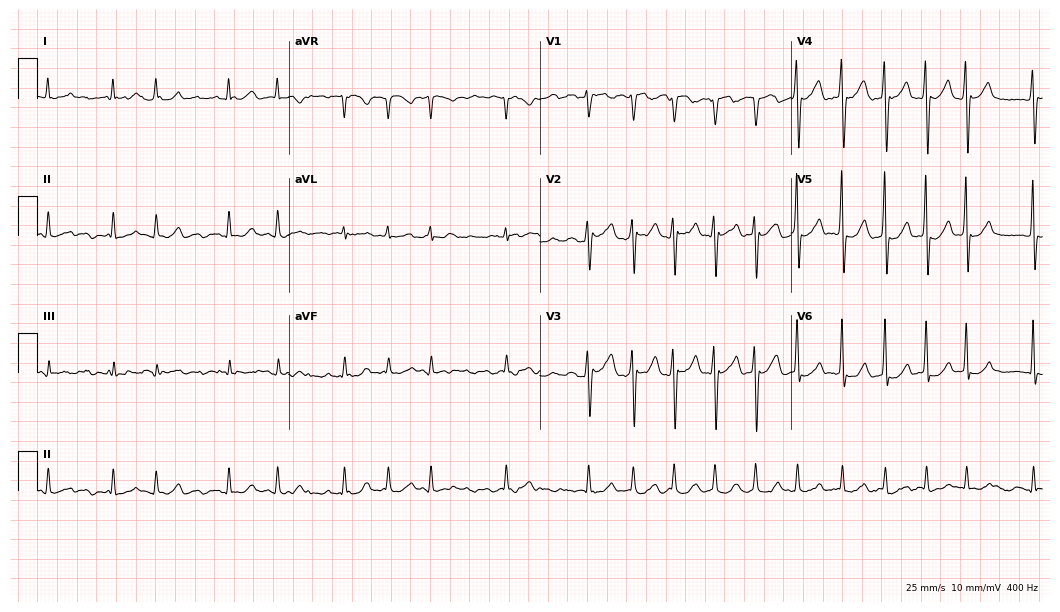
Resting 12-lead electrocardiogram. Patient: a 72-year-old man. The tracing shows atrial fibrillation (AF).